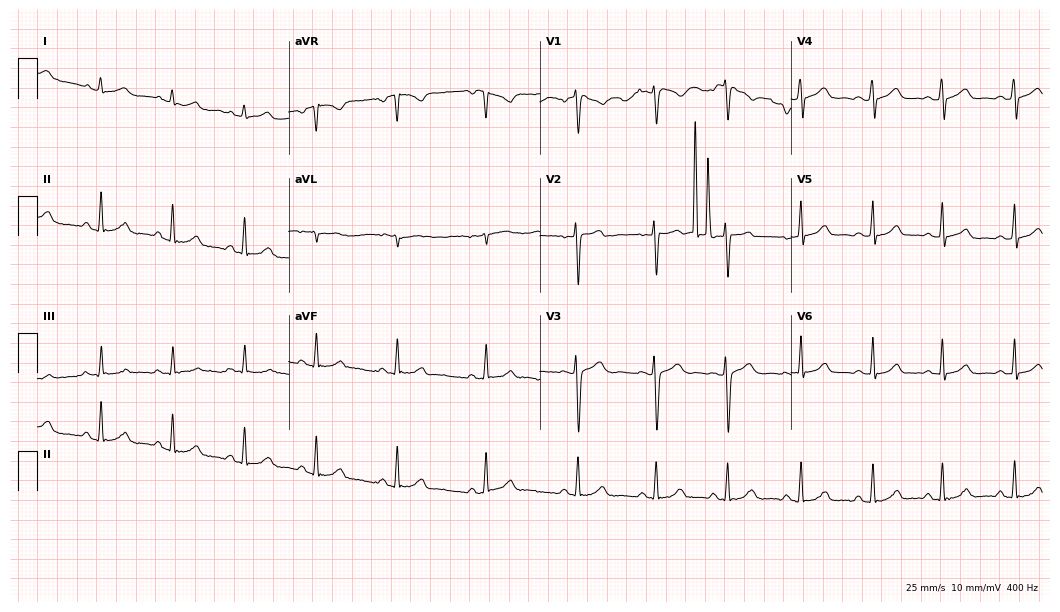
Electrocardiogram, a 23-year-old woman. Overall reading on record: normal ECG.